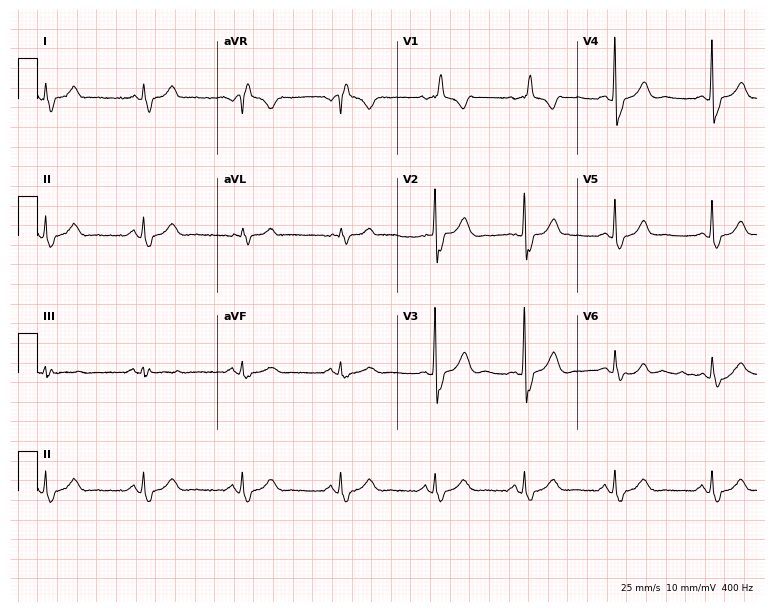
ECG — a woman, 57 years old. Findings include right bundle branch block.